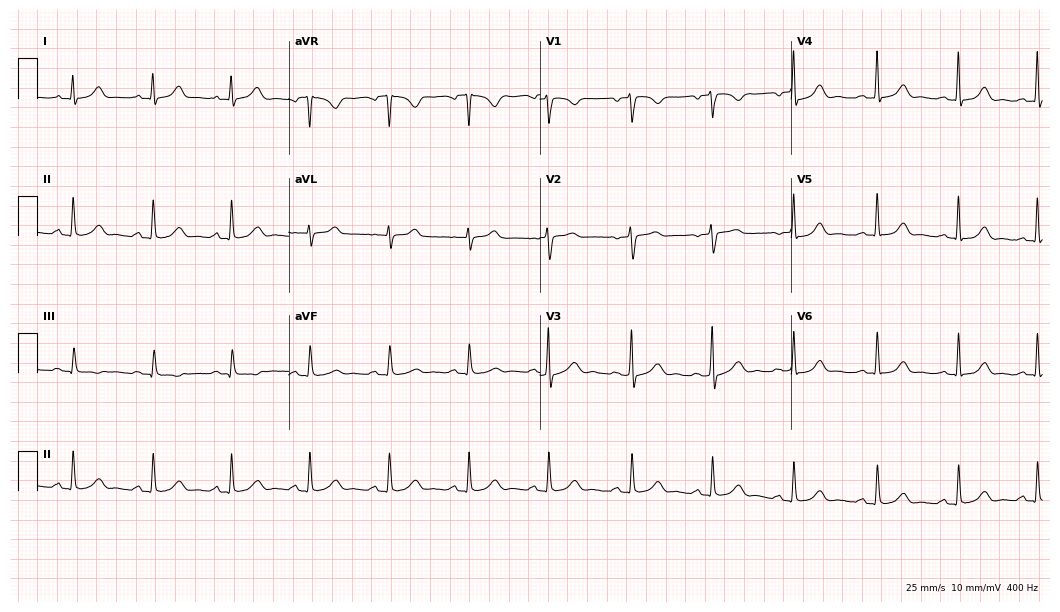
Resting 12-lead electrocardiogram. Patient: a female, 38 years old. Read as a normal ECG.